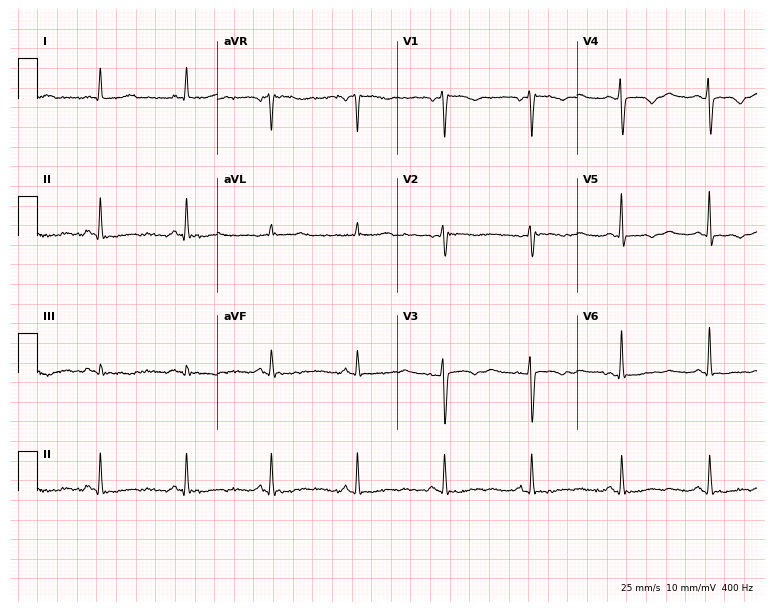
12-lead ECG from a 48-year-old female. Screened for six findings — first-degree AV block, right bundle branch block (RBBB), left bundle branch block (LBBB), sinus bradycardia, atrial fibrillation (AF), sinus tachycardia — none is recorded.